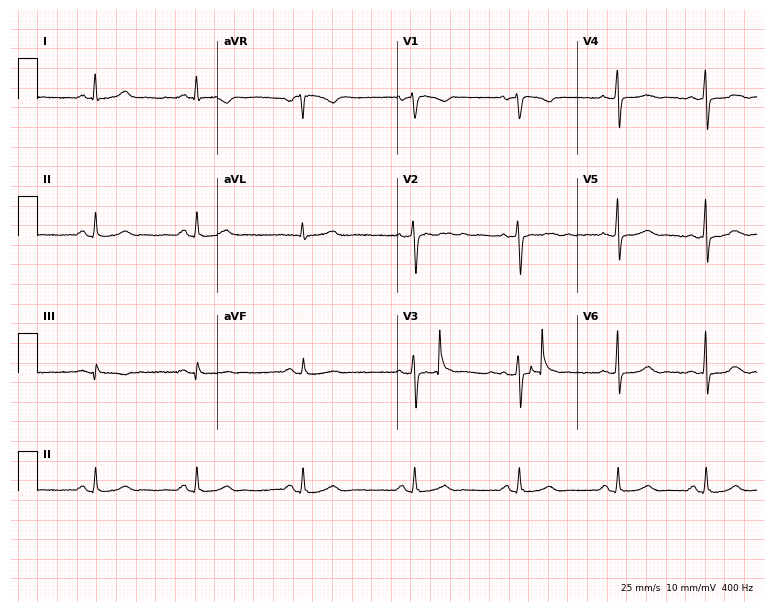
Resting 12-lead electrocardiogram. Patient: a 51-year-old female. None of these six findings is recorded: first-degree AV block, right bundle branch block, left bundle branch block, sinus bradycardia, atrial fibrillation, sinus tachycardia. Findings outside these six are not listed.